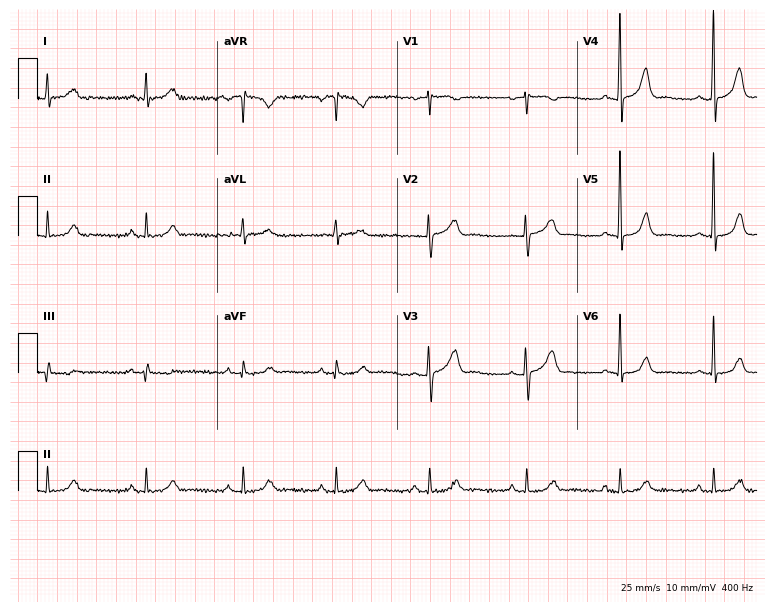
ECG (7.3-second recording at 400 Hz) — a 70-year-old female patient. Screened for six findings — first-degree AV block, right bundle branch block (RBBB), left bundle branch block (LBBB), sinus bradycardia, atrial fibrillation (AF), sinus tachycardia — none is recorded. Other findings, if any, are not listed.